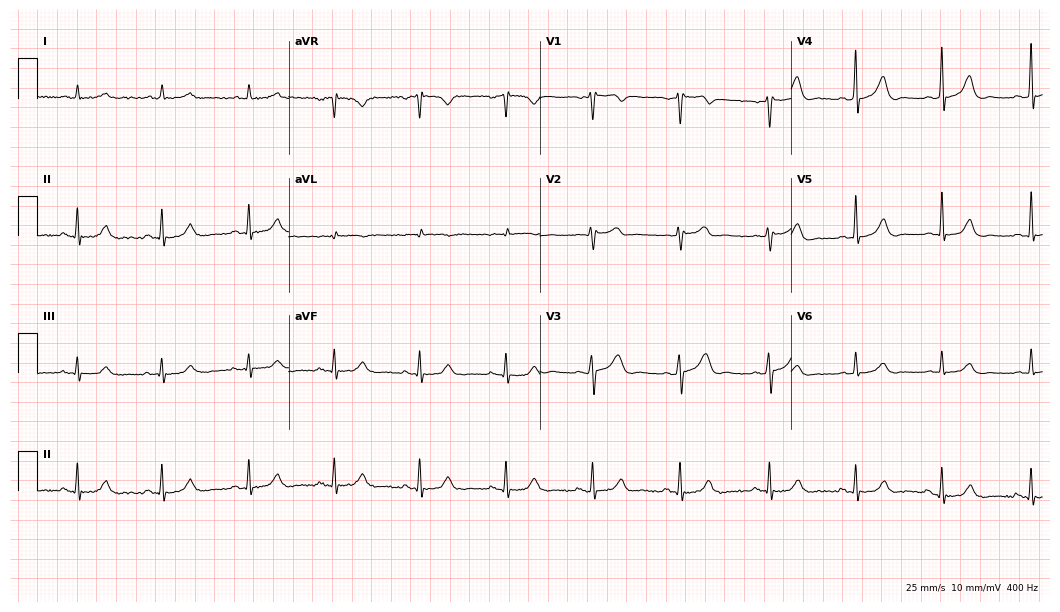
Standard 12-lead ECG recorded from a 59-year-old man. None of these six findings is recorded: first-degree AV block, right bundle branch block (RBBB), left bundle branch block (LBBB), sinus bradycardia, atrial fibrillation (AF), sinus tachycardia. Only these six findings were labelled.